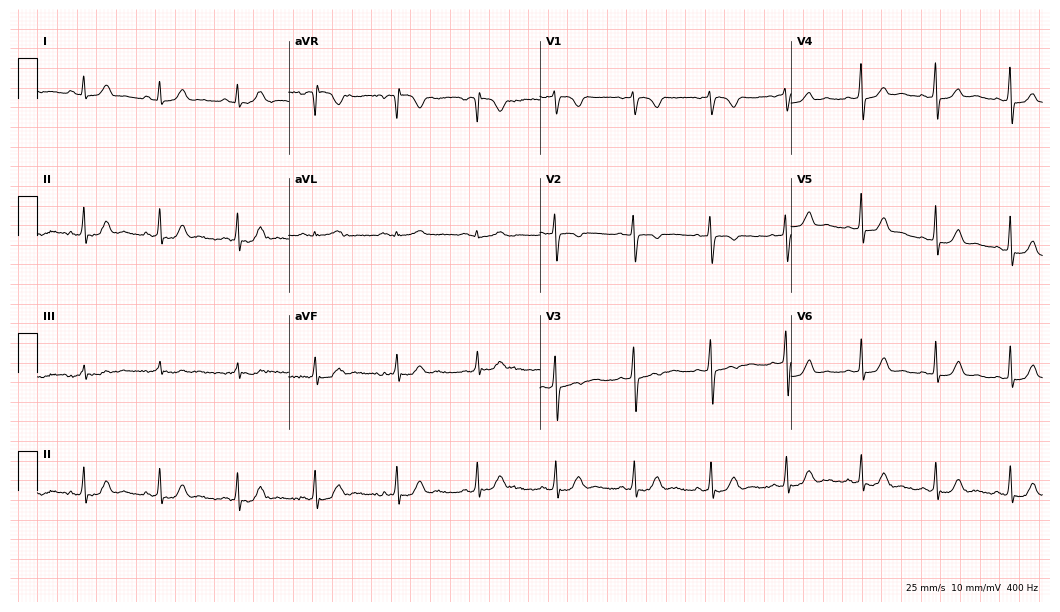
Resting 12-lead electrocardiogram (10.2-second recording at 400 Hz). Patient: a female, 31 years old. None of these six findings is recorded: first-degree AV block, right bundle branch block, left bundle branch block, sinus bradycardia, atrial fibrillation, sinus tachycardia. Findings outside these six are not listed.